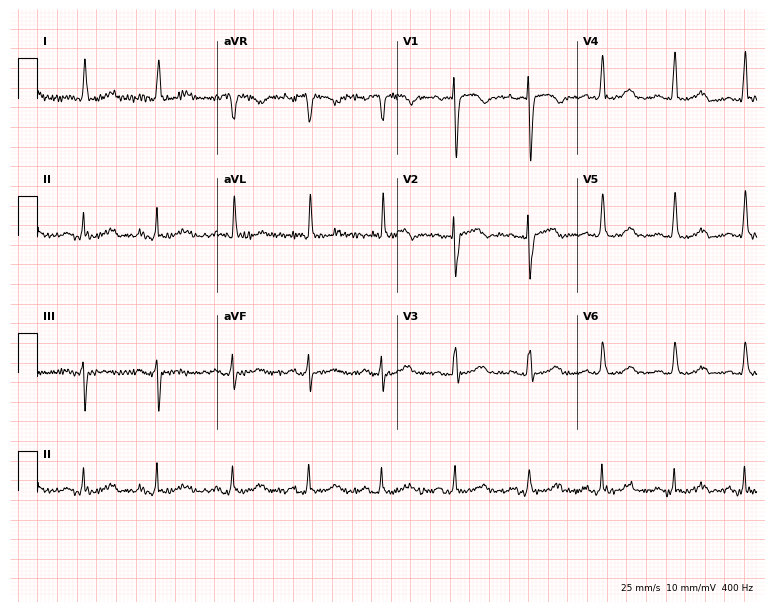
ECG — a 59-year-old female. Screened for six findings — first-degree AV block, right bundle branch block, left bundle branch block, sinus bradycardia, atrial fibrillation, sinus tachycardia — none is recorded.